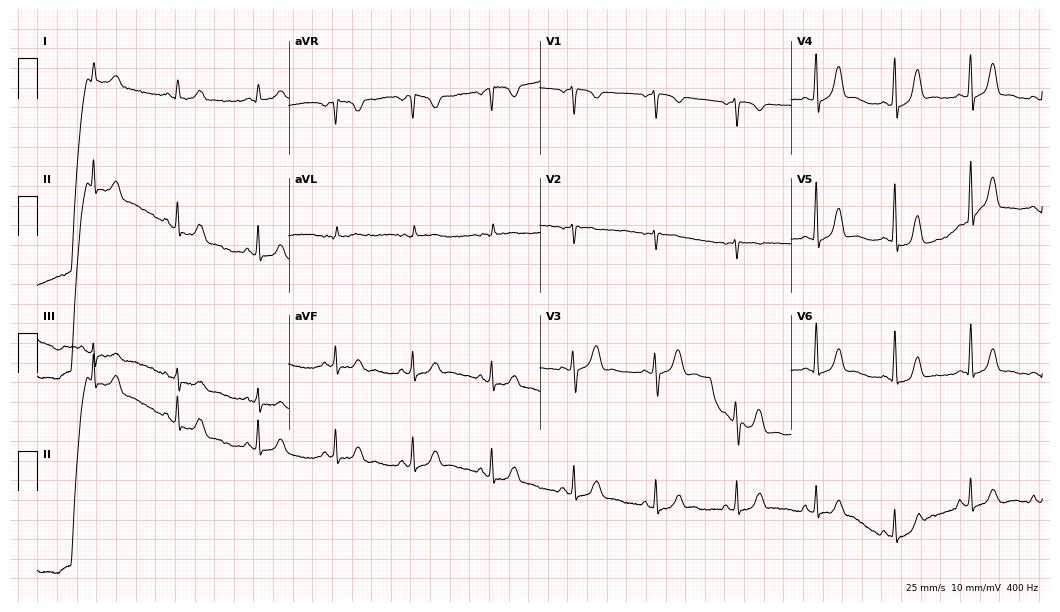
Electrocardiogram (10.2-second recording at 400 Hz), a 41-year-old female. Of the six screened findings (first-degree AV block, right bundle branch block (RBBB), left bundle branch block (LBBB), sinus bradycardia, atrial fibrillation (AF), sinus tachycardia), none is recorded. Findings outside these six are not listed.